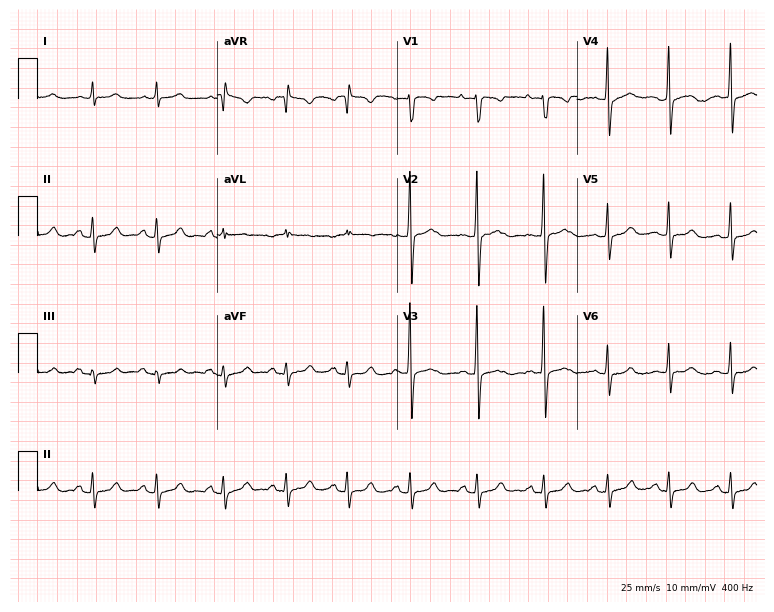
ECG (7.3-second recording at 400 Hz) — a female patient, 25 years old. Screened for six findings — first-degree AV block, right bundle branch block (RBBB), left bundle branch block (LBBB), sinus bradycardia, atrial fibrillation (AF), sinus tachycardia — none is recorded. Findings outside these six are not listed.